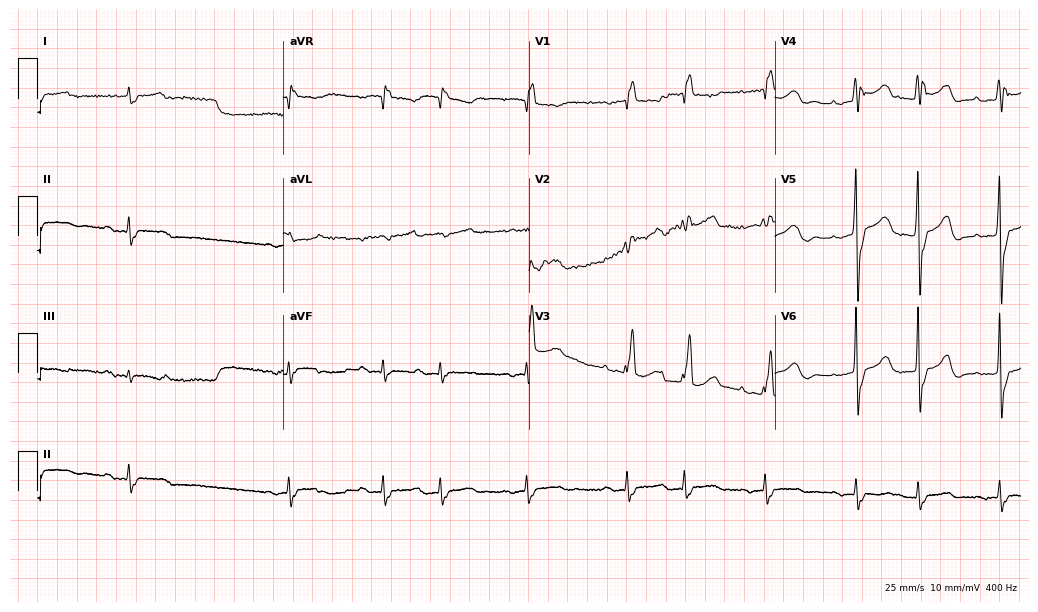
12-lead ECG (10-second recording at 400 Hz) from an 83-year-old man. Screened for six findings — first-degree AV block, right bundle branch block, left bundle branch block, sinus bradycardia, atrial fibrillation, sinus tachycardia — none is recorded. Only these six findings were labelled.